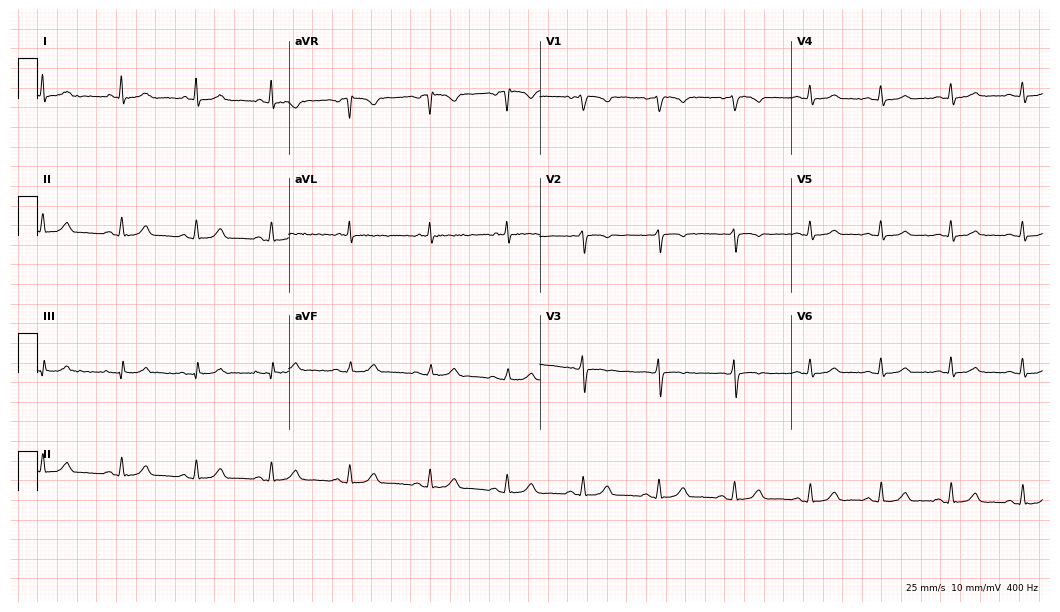
12-lead ECG from a female, 41 years old. No first-degree AV block, right bundle branch block, left bundle branch block, sinus bradycardia, atrial fibrillation or sinus tachycardia recorded for this tracing. Other findings, if any, are not listed.